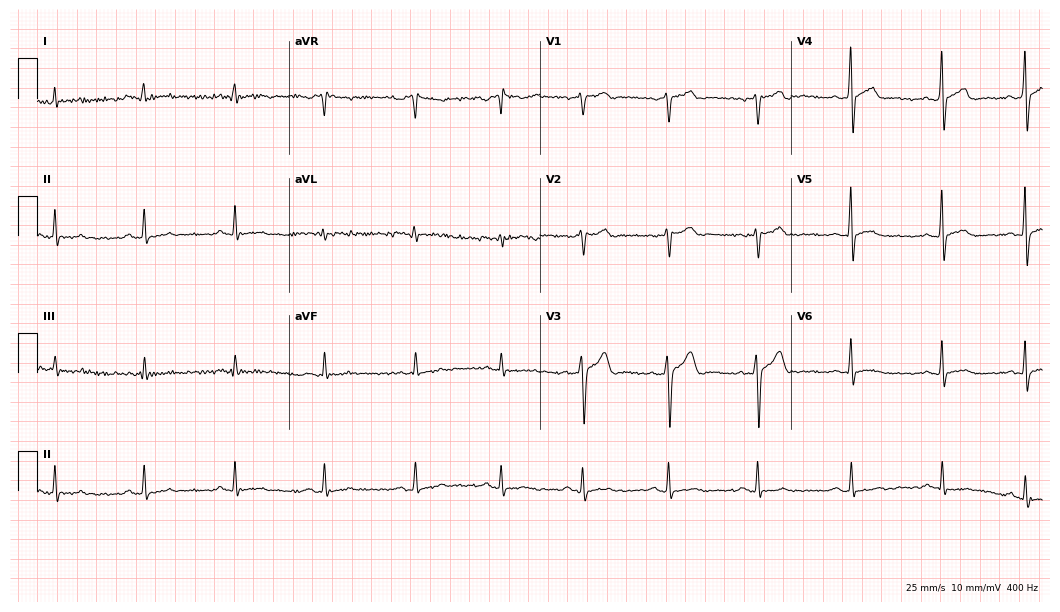
Standard 12-lead ECG recorded from a 36-year-old man. None of these six findings is recorded: first-degree AV block, right bundle branch block, left bundle branch block, sinus bradycardia, atrial fibrillation, sinus tachycardia.